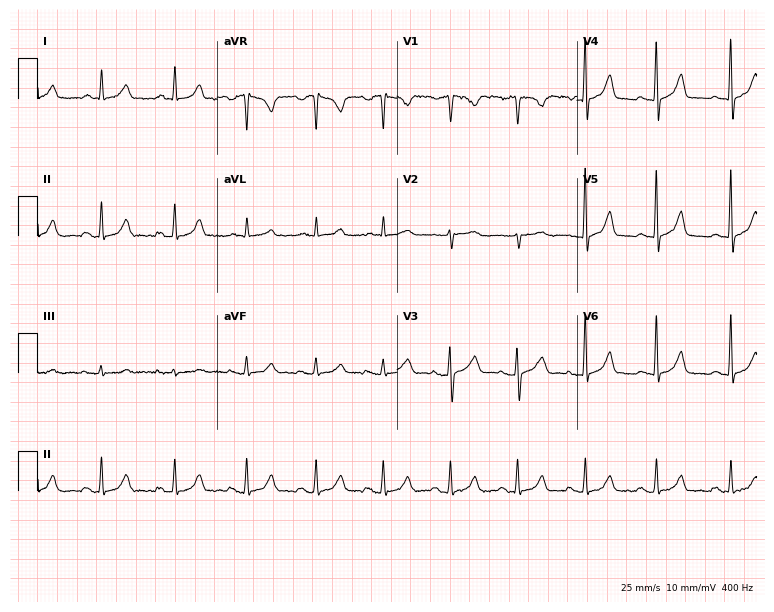
Electrocardiogram (7.3-second recording at 400 Hz), a 42-year-old woman. Of the six screened findings (first-degree AV block, right bundle branch block, left bundle branch block, sinus bradycardia, atrial fibrillation, sinus tachycardia), none is recorded.